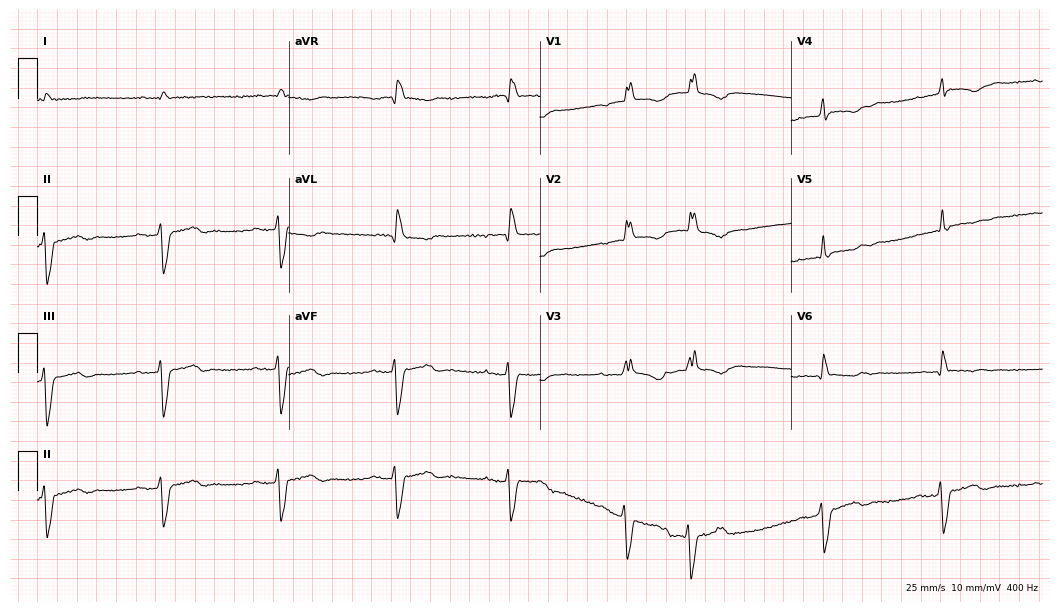
Standard 12-lead ECG recorded from a man, 65 years old. The tracing shows first-degree AV block, right bundle branch block.